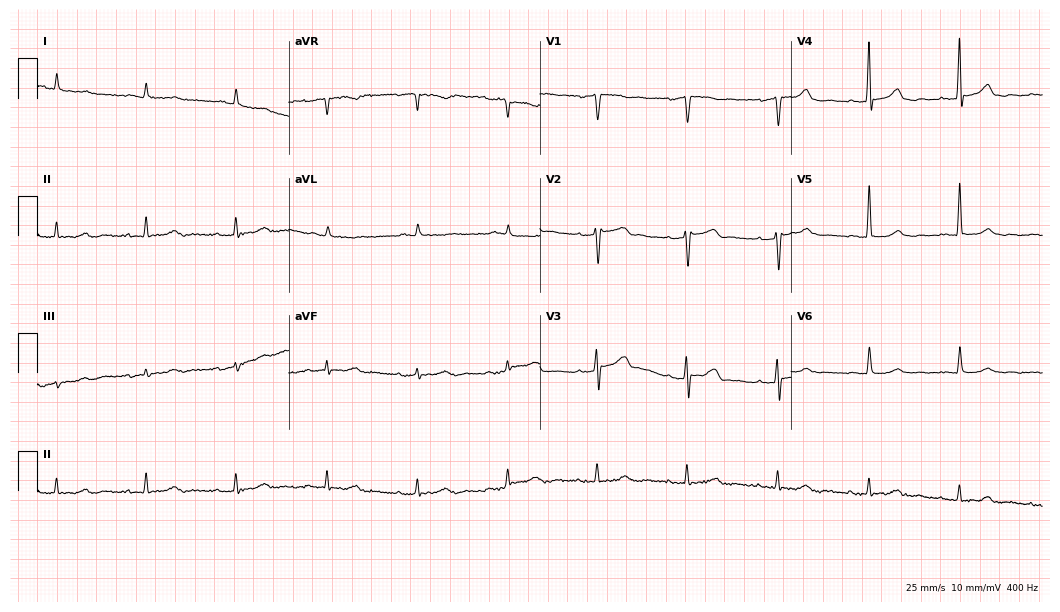
12-lead ECG (10.2-second recording at 400 Hz) from a man, 84 years old. Screened for six findings — first-degree AV block, right bundle branch block (RBBB), left bundle branch block (LBBB), sinus bradycardia, atrial fibrillation (AF), sinus tachycardia — none is recorded.